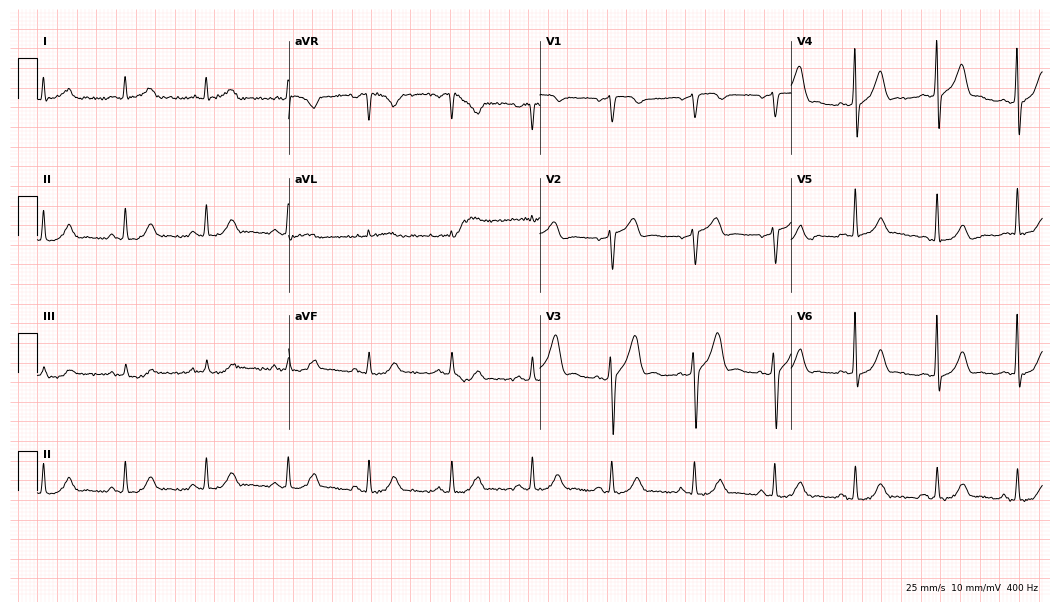
Electrocardiogram (10.2-second recording at 400 Hz), a male, 55 years old. Overall reading on record: normal ECG.